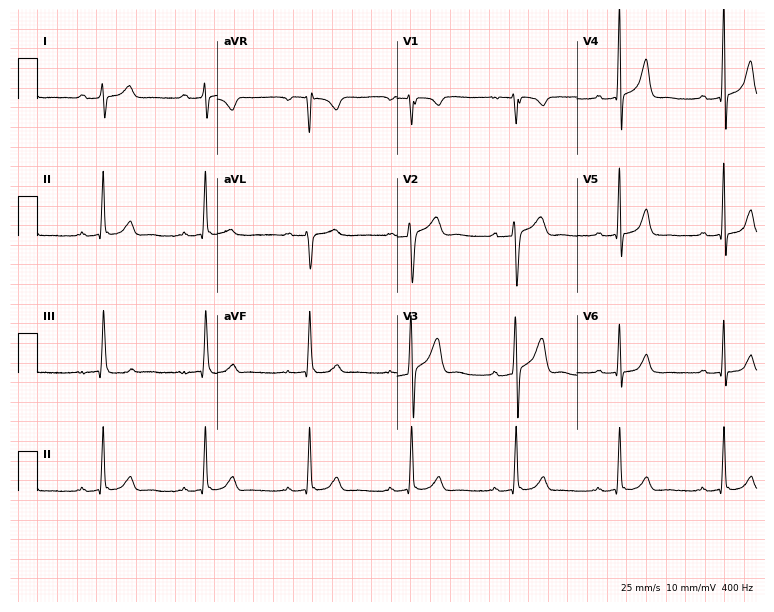
12-lead ECG from a 33-year-old male. Shows first-degree AV block.